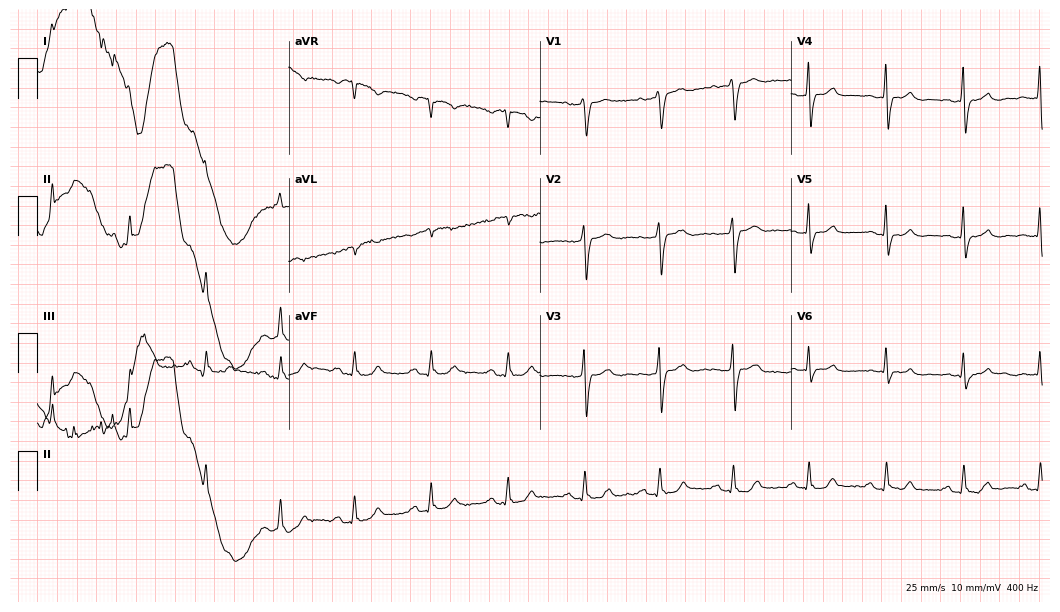
12-lead ECG from a man, 78 years old. No first-degree AV block, right bundle branch block (RBBB), left bundle branch block (LBBB), sinus bradycardia, atrial fibrillation (AF) or sinus tachycardia recorded for this tracing.